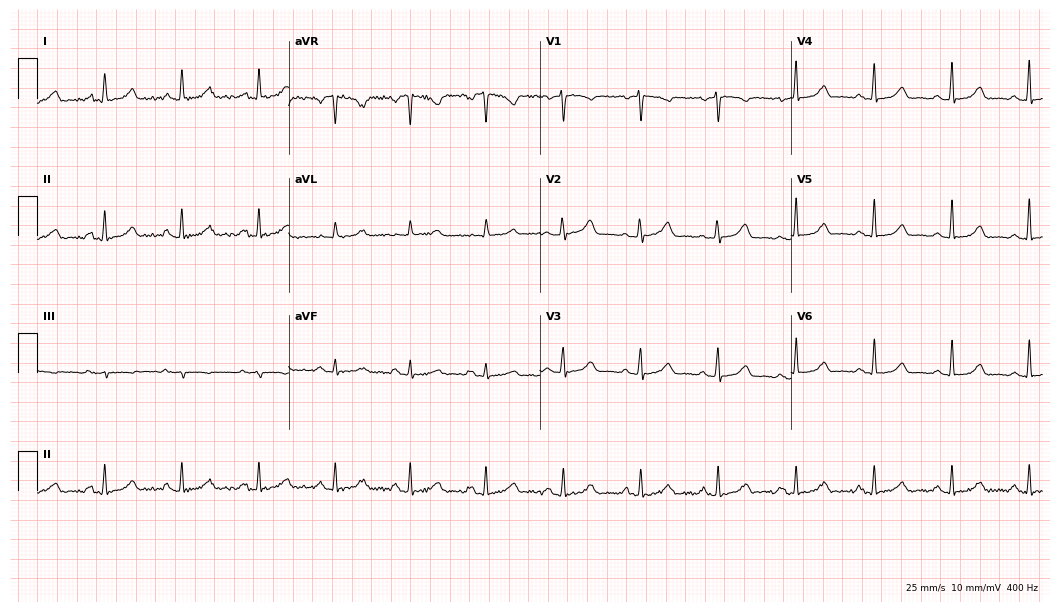
Standard 12-lead ECG recorded from a female patient, 58 years old. Read as a normal ECG.